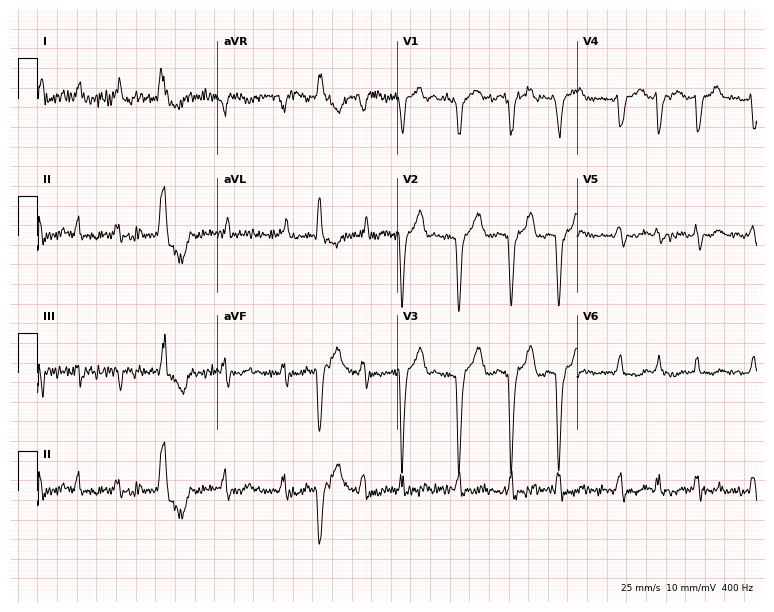
Resting 12-lead electrocardiogram. Patient: a female, 72 years old. None of these six findings is recorded: first-degree AV block, right bundle branch block, left bundle branch block, sinus bradycardia, atrial fibrillation, sinus tachycardia. Only these six findings were labelled.